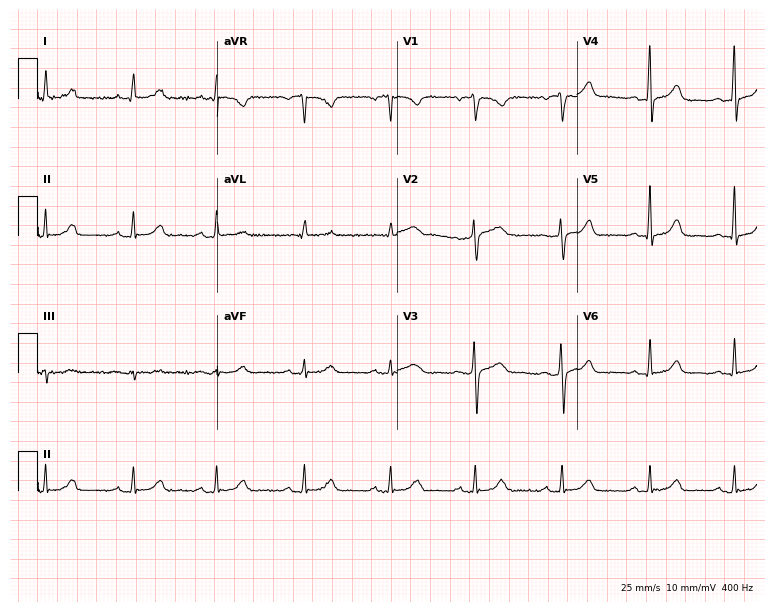
ECG — a woman, 40 years old. Screened for six findings — first-degree AV block, right bundle branch block, left bundle branch block, sinus bradycardia, atrial fibrillation, sinus tachycardia — none is recorded. Only these six findings were labelled.